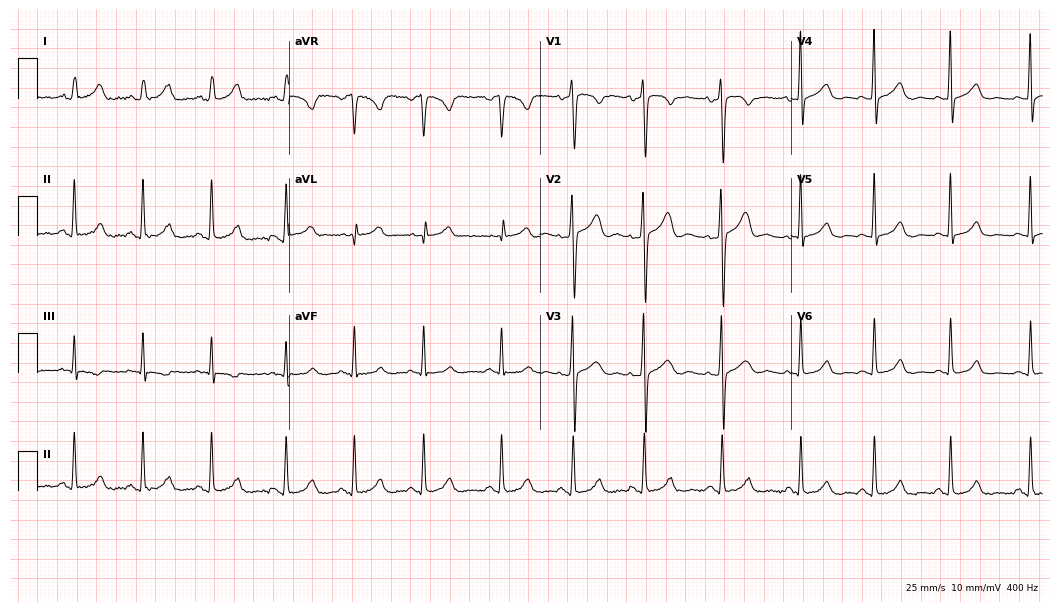
Standard 12-lead ECG recorded from a 34-year-old woman (10.2-second recording at 400 Hz). Read as a normal ECG.